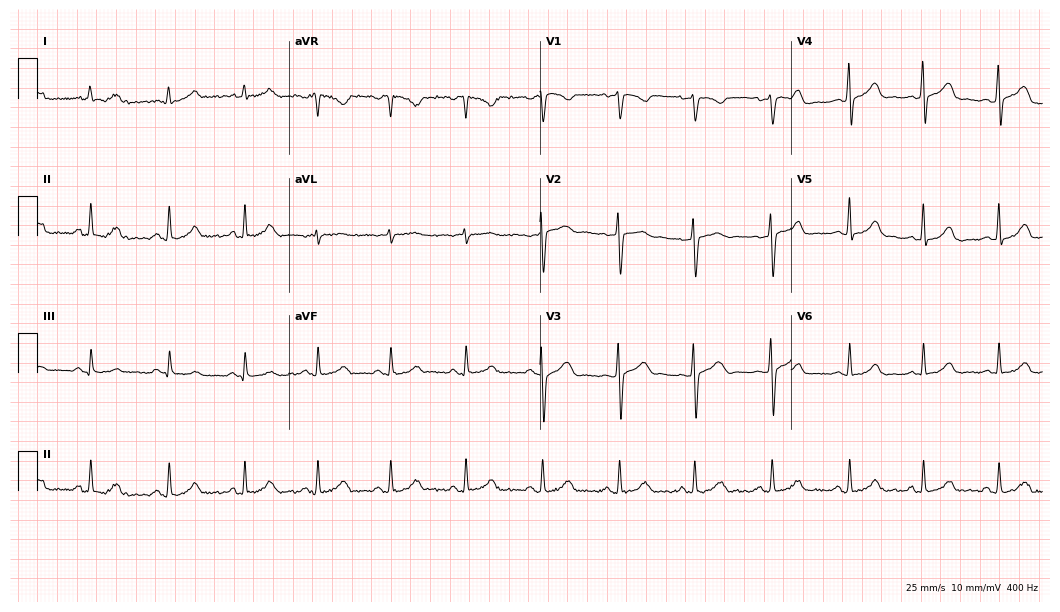
ECG — a 41-year-old male patient. Labelled as a normal ECG.